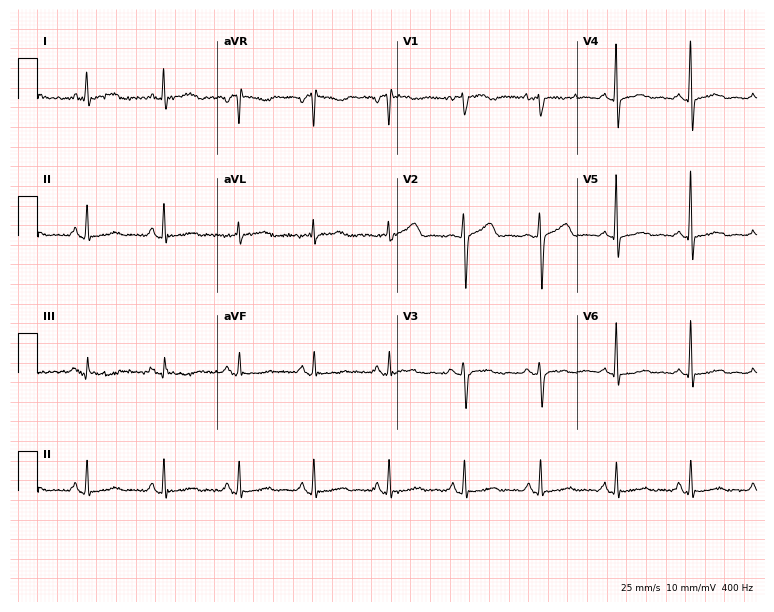
12-lead ECG from a 53-year-old woman. Recorded interpretation: within normal limits.